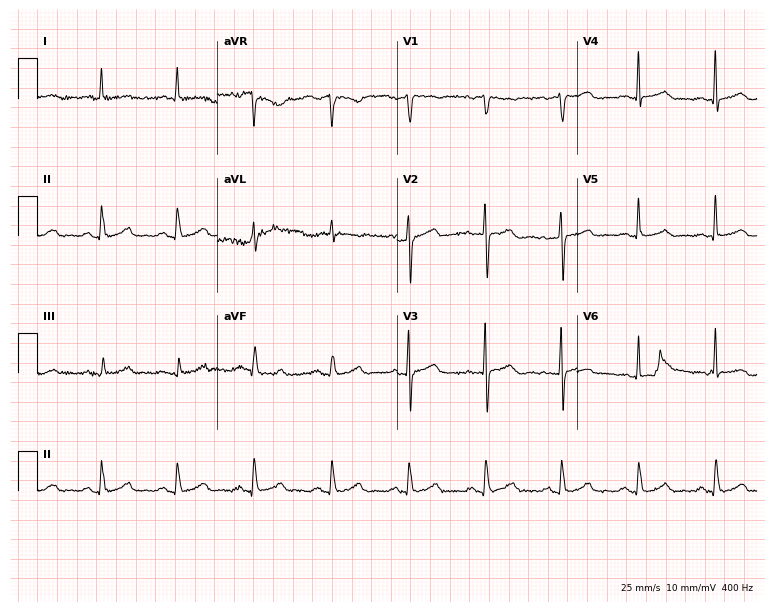
Electrocardiogram, a female, 79 years old. Of the six screened findings (first-degree AV block, right bundle branch block, left bundle branch block, sinus bradycardia, atrial fibrillation, sinus tachycardia), none is recorded.